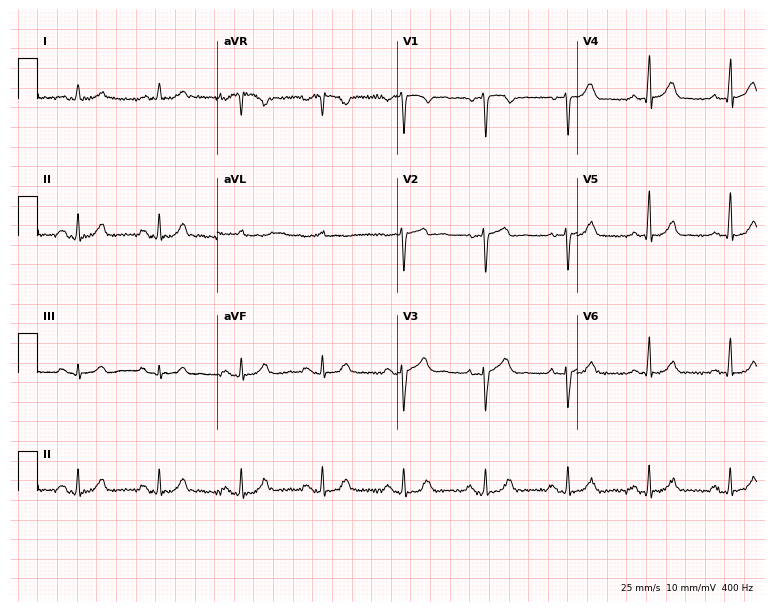
12-lead ECG from a male patient, 69 years old. No first-degree AV block, right bundle branch block, left bundle branch block, sinus bradycardia, atrial fibrillation or sinus tachycardia recorded for this tracing. Other findings, if any, are not listed.